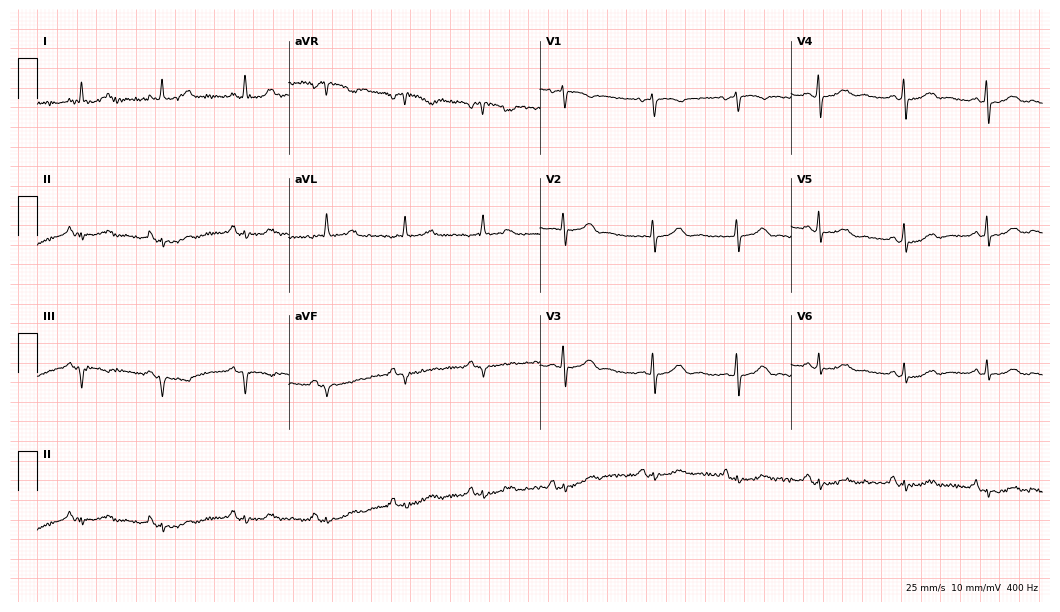
ECG — a 51-year-old female patient. Screened for six findings — first-degree AV block, right bundle branch block (RBBB), left bundle branch block (LBBB), sinus bradycardia, atrial fibrillation (AF), sinus tachycardia — none is recorded. Only these six findings were labelled.